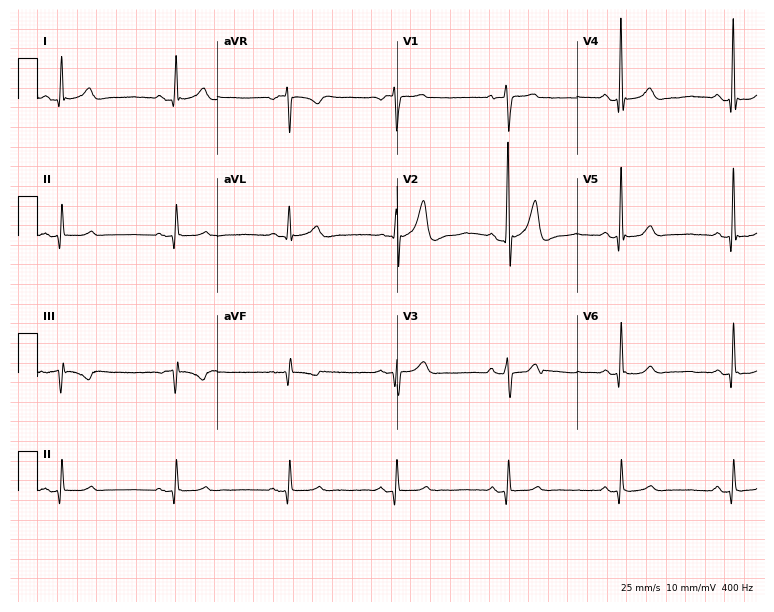
12-lead ECG from a male patient, 74 years old (7.3-second recording at 400 Hz). No first-degree AV block, right bundle branch block, left bundle branch block, sinus bradycardia, atrial fibrillation or sinus tachycardia recorded for this tracing.